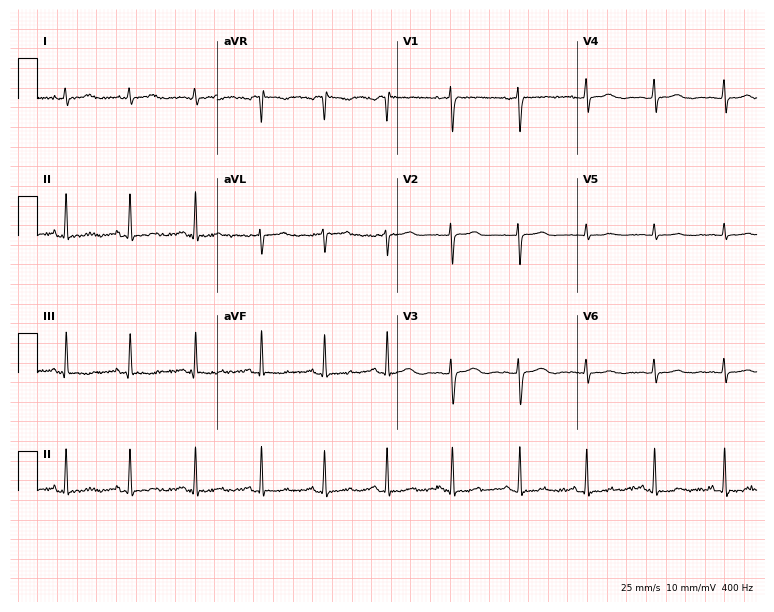
12-lead ECG from a 21-year-old female (7.3-second recording at 400 Hz). No first-degree AV block, right bundle branch block, left bundle branch block, sinus bradycardia, atrial fibrillation or sinus tachycardia recorded for this tracing. Findings outside these six are not listed.